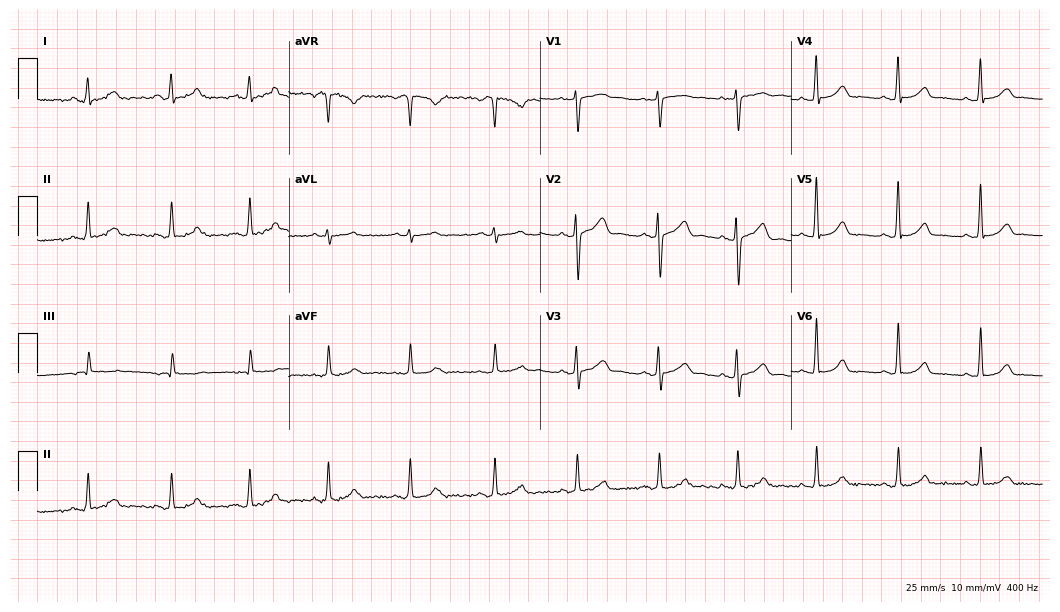
12-lead ECG from a woman, 35 years old (10.2-second recording at 400 Hz). Recorded interpretation: within normal limits.